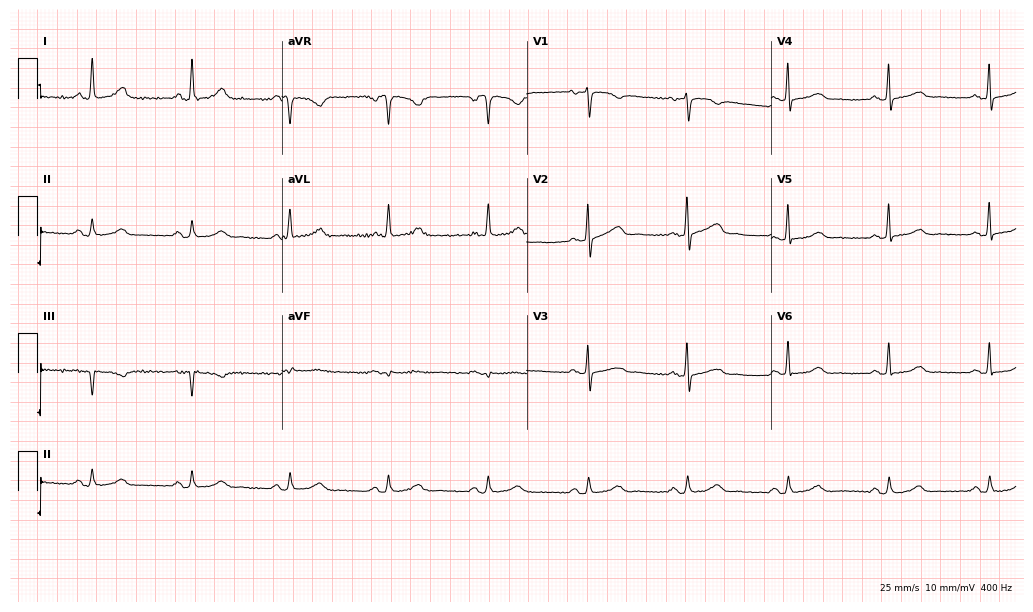
Electrocardiogram, a 68-year-old female patient. Overall reading on record: normal ECG.